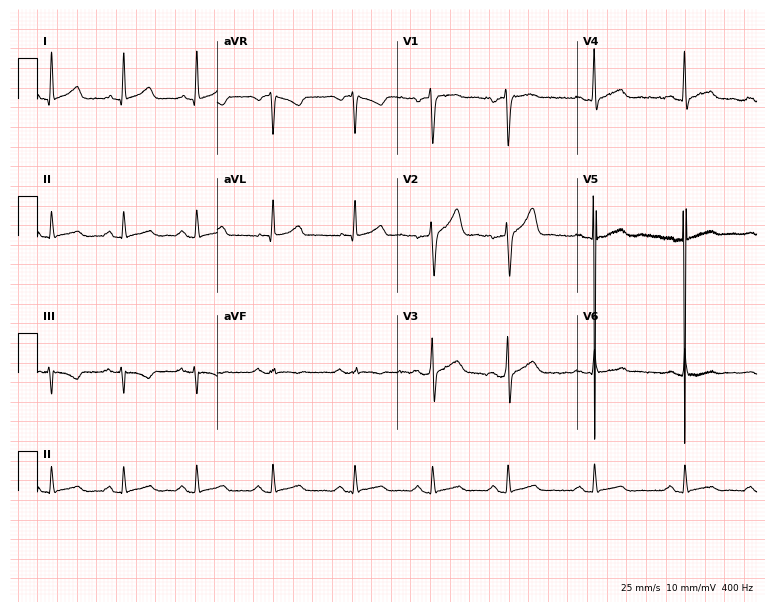
12-lead ECG from a 46-year-old male. Labelled as a normal ECG.